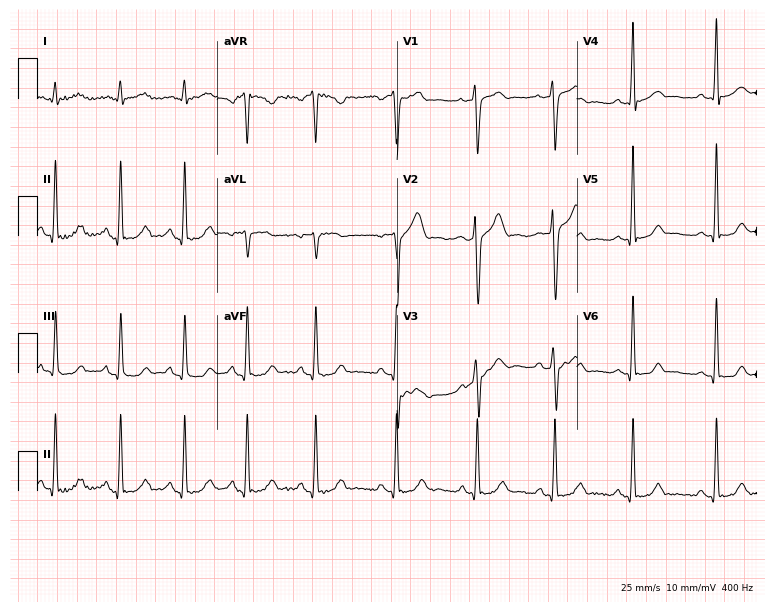
Electrocardiogram, a 23-year-old male patient. Of the six screened findings (first-degree AV block, right bundle branch block, left bundle branch block, sinus bradycardia, atrial fibrillation, sinus tachycardia), none is recorded. Other findings, if any, are not listed.